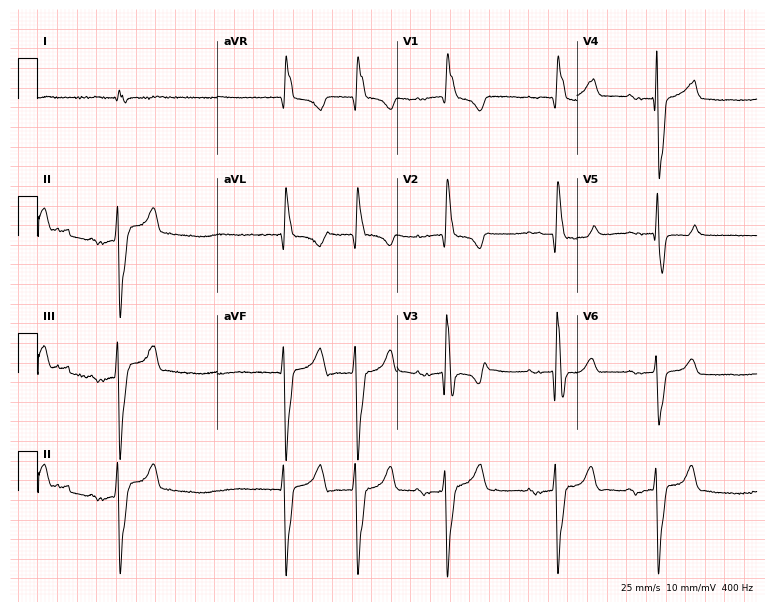
12-lead ECG (7.3-second recording at 400 Hz) from an 85-year-old woman. Findings include first-degree AV block, right bundle branch block.